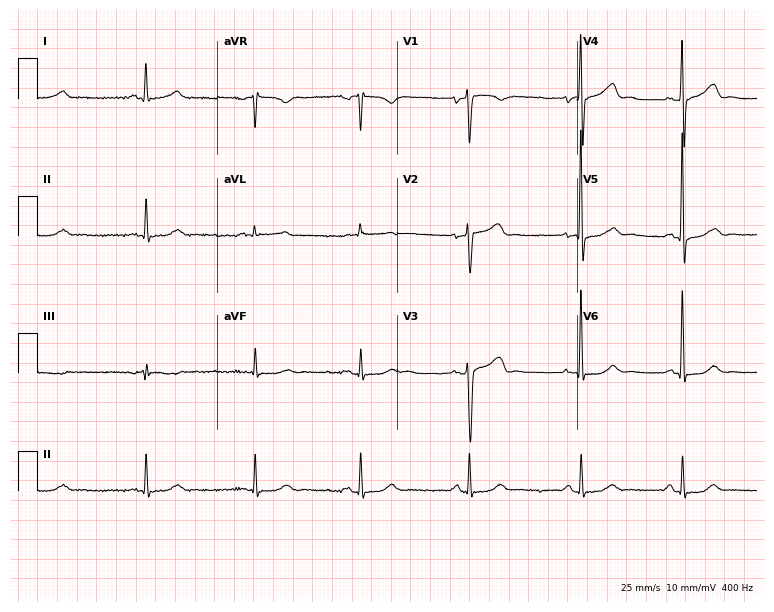
ECG (7.3-second recording at 400 Hz) — a 61-year-old man. Labelled as a normal ECG.